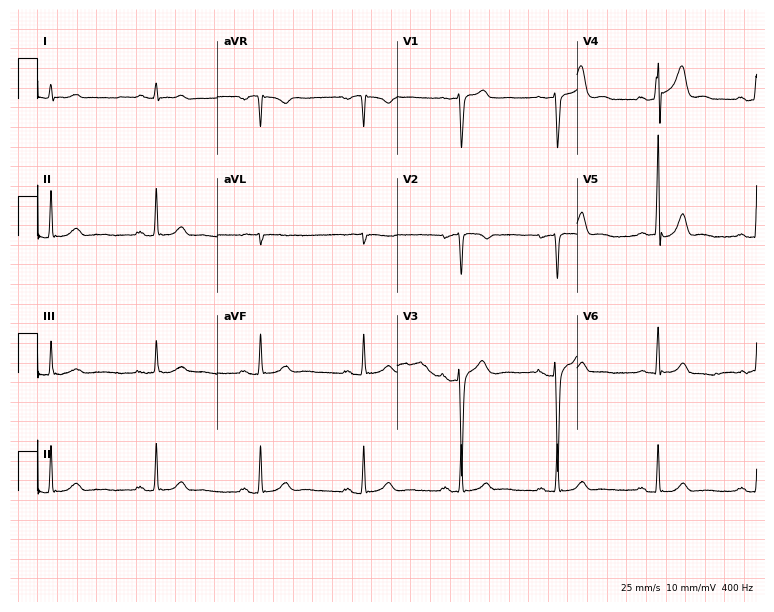
12-lead ECG from a 35-year-old male patient. Labelled as a normal ECG.